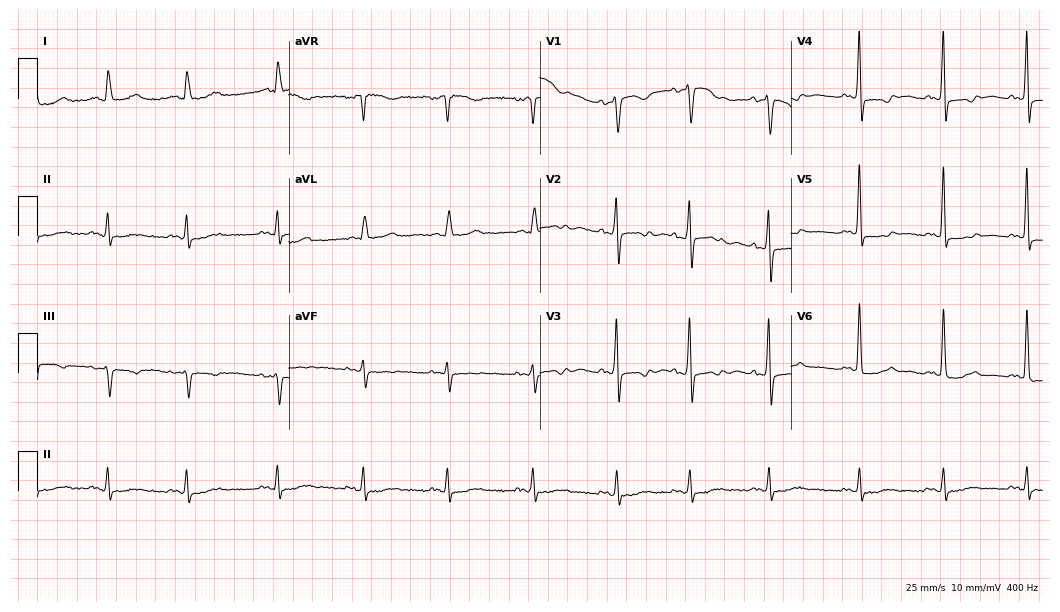
Electrocardiogram (10.2-second recording at 400 Hz), a 79-year-old female. Of the six screened findings (first-degree AV block, right bundle branch block, left bundle branch block, sinus bradycardia, atrial fibrillation, sinus tachycardia), none is recorded. Findings outside these six are not listed.